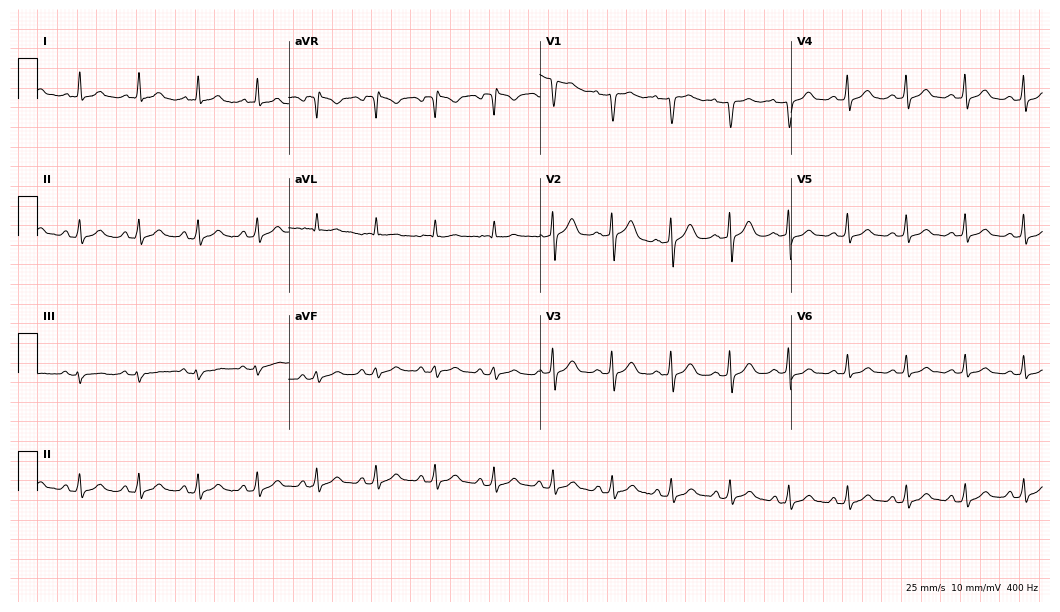
ECG — a 59-year-old male patient. Screened for six findings — first-degree AV block, right bundle branch block (RBBB), left bundle branch block (LBBB), sinus bradycardia, atrial fibrillation (AF), sinus tachycardia — none is recorded.